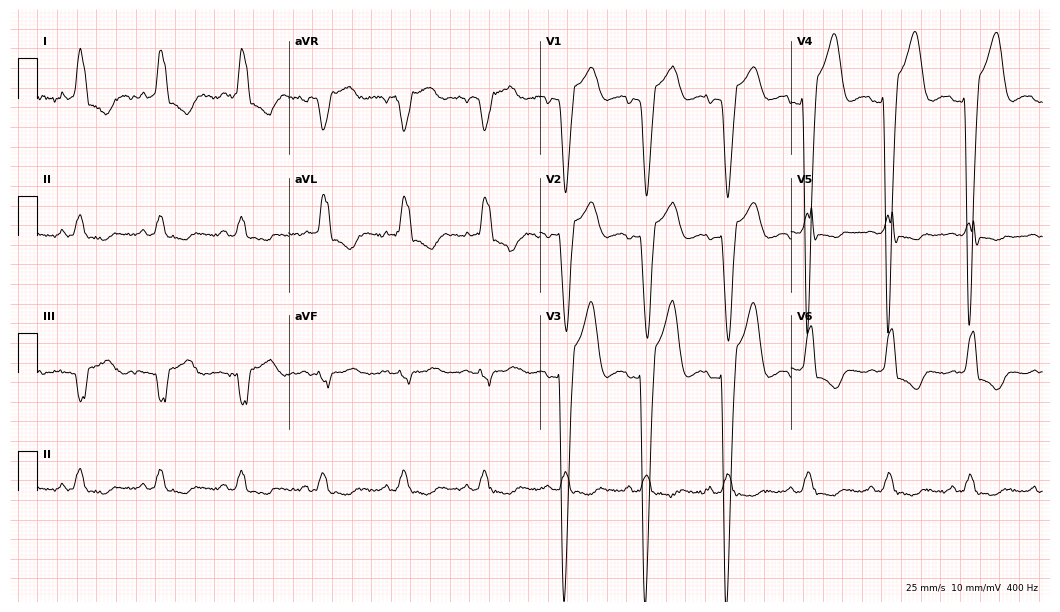
Electrocardiogram, a 62-year-old female. Interpretation includes left bundle branch block.